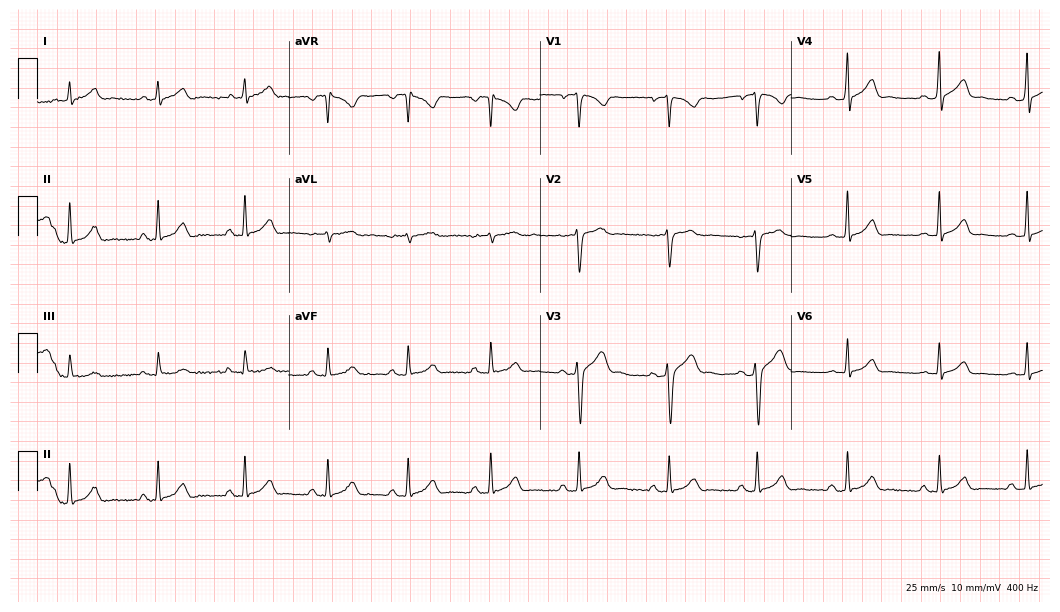
12-lead ECG (10.2-second recording at 400 Hz) from a 23-year-old male patient. Labelled as a normal ECG.